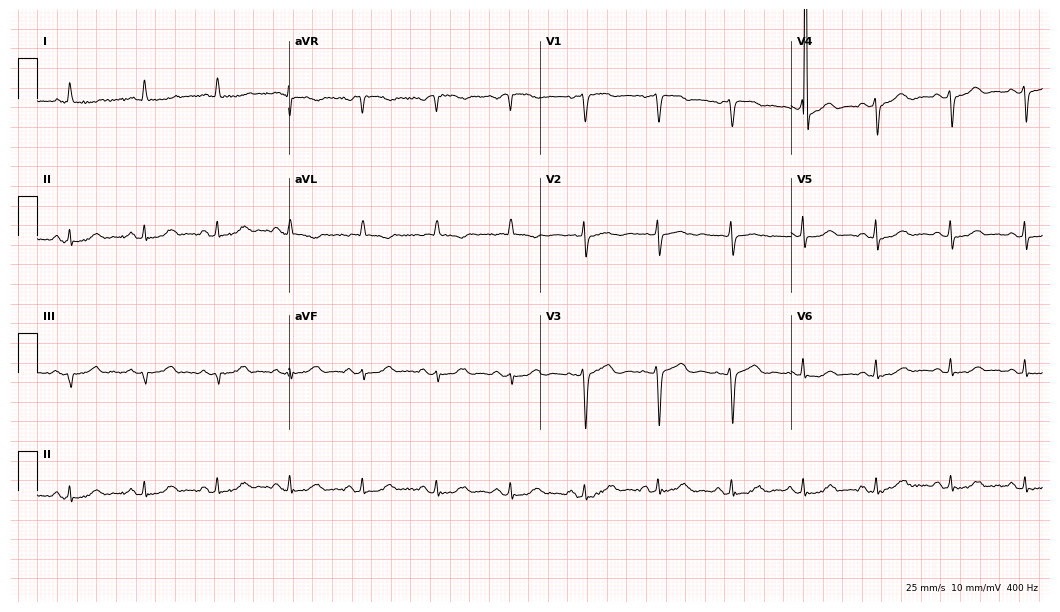
ECG — a woman, 80 years old. Screened for six findings — first-degree AV block, right bundle branch block, left bundle branch block, sinus bradycardia, atrial fibrillation, sinus tachycardia — none is recorded. Only these six findings were labelled.